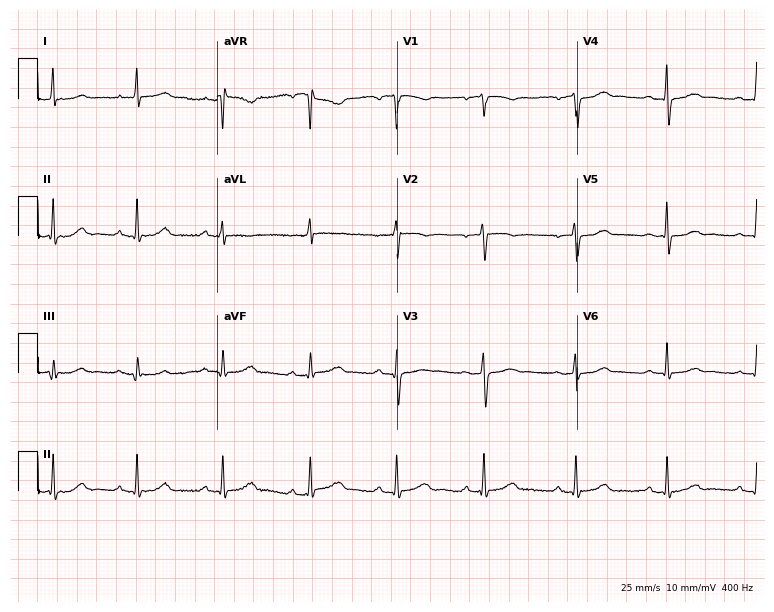
Electrocardiogram, a 39-year-old female patient. Of the six screened findings (first-degree AV block, right bundle branch block (RBBB), left bundle branch block (LBBB), sinus bradycardia, atrial fibrillation (AF), sinus tachycardia), none is recorded. Only these six findings were labelled.